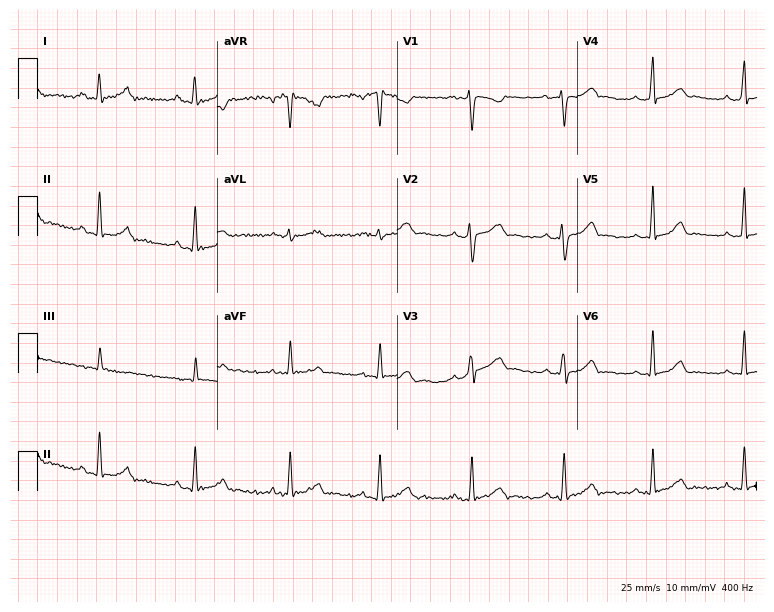
12-lead ECG (7.3-second recording at 400 Hz) from a 28-year-old female patient. Screened for six findings — first-degree AV block, right bundle branch block (RBBB), left bundle branch block (LBBB), sinus bradycardia, atrial fibrillation (AF), sinus tachycardia — none is recorded. Findings outside these six are not listed.